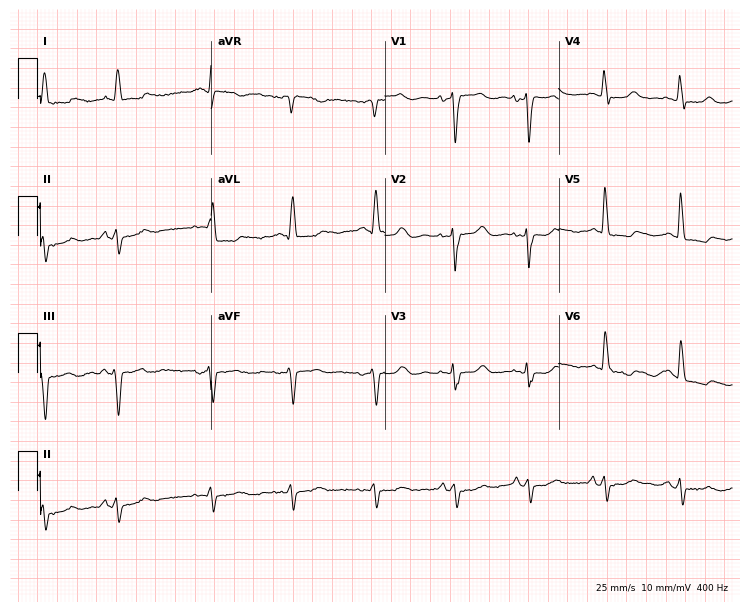
12-lead ECG (7.1-second recording at 400 Hz) from a female, 79 years old. Screened for six findings — first-degree AV block, right bundle branch block, left bundle branch block, sinus bradycardia, atrial fibrillation, sinus tachycardia — none is recorded. Other findings, if any, are not listed.